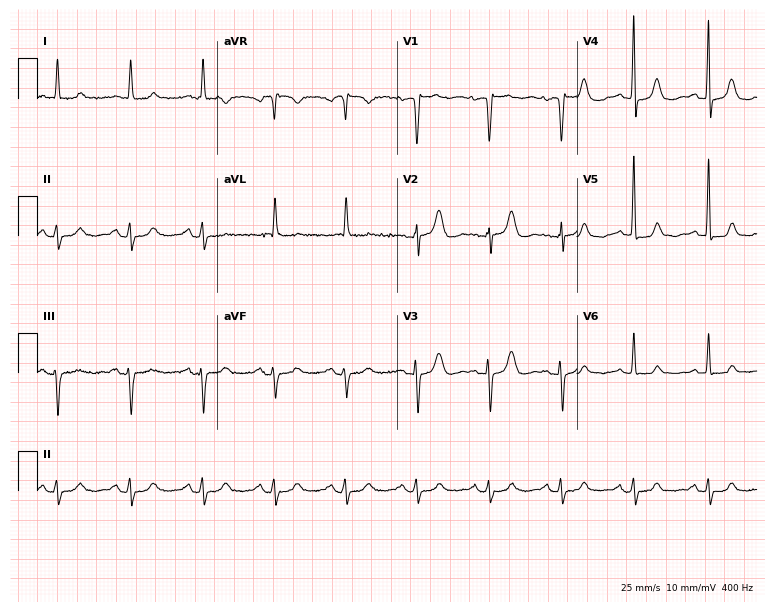
Resting 12-lead electrocardiogram. Patient: an 84-year-old woman. None of these six findings is recorded: first-degree AV block, right bundle branch block, left bundle branch block, sinus bradycardia, atrial fibrillation, sinus tachycardia. Other findings, if any, are not listed.